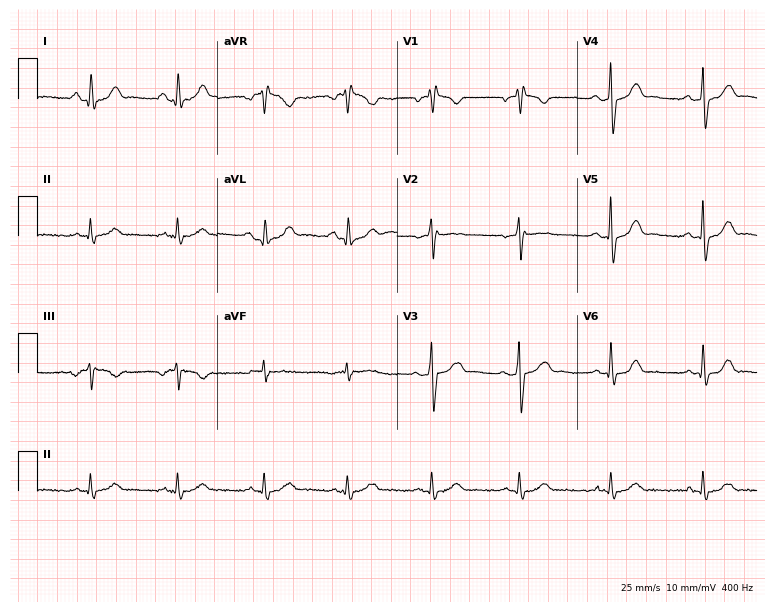
12-lead ECG (7.3-second recording at 400 Hz) from a male, 65 years old. Screened for six findings — first-degree AV block, right bundle branch block, left bundle branch block, sinus bradycardia, atrial fibrillation, sinus tachycardia — none is recorded. Findings outside these six are not listed.